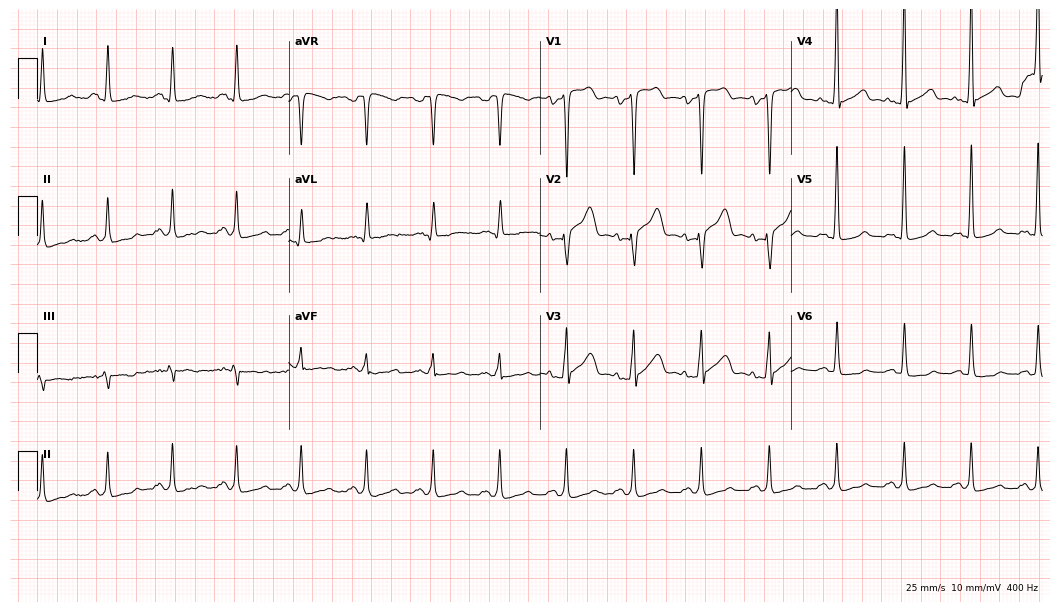
12-lead ECG (10.2-second recording at 400 Hz) from a 39-year-old male patient. Screened for six findings — first-degree AV block, right bundle branch block, left bundle branch block, sinus bradycardia, atrial fibrillation, sinus tachycardia — none is recorded.